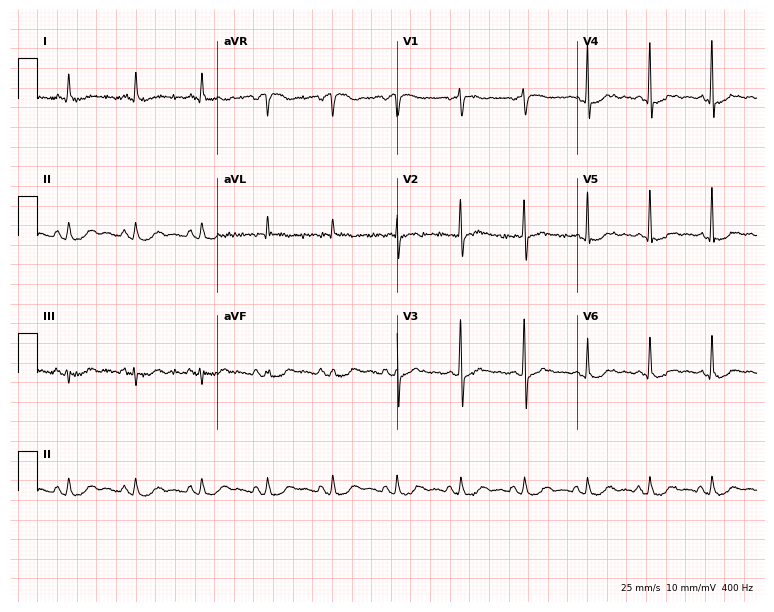
Resting 12-lead electrocardiogram (7.3-second recording at 400 Hz). Patient: a 77-year-old woman. None of these six findings is recorded: first-degree AV block, right bundle branch block, left bundle branch block, sinus bradycardia, atrial fibrillation, sinus tachycardia.